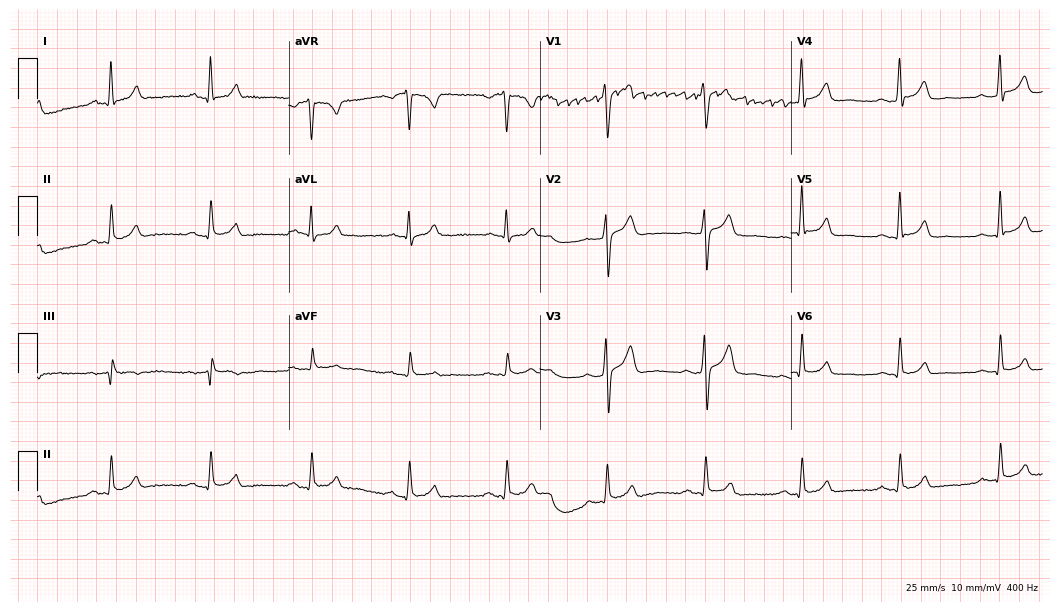
Electrocardiogram, a 49-year-old male. Of the six screened findings (first-degree AV block, right bundle branch block, left bundle branch block, sinus bradycardia, atrial fibrillation, sinus tachycardia), none is recorded. Findings outside these six are not listed.